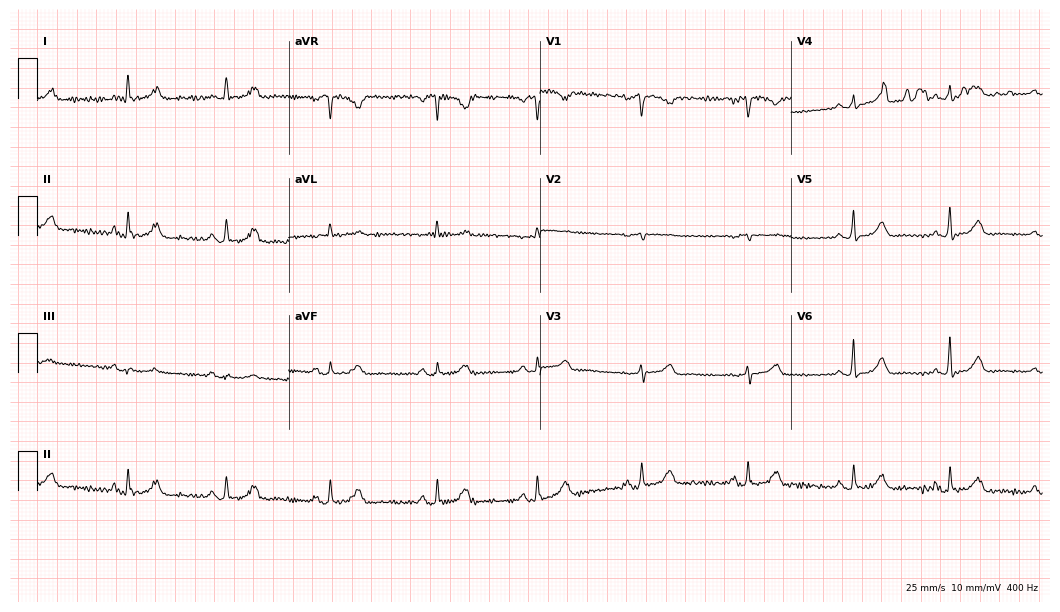
12-lead ECG from a female patient, 60 years old. No first-degree AV block, right bundle branch block, left bundle branch block, sinus bradycardia, atrial fibrillation or sinus tachycardia recorded for this tracing.